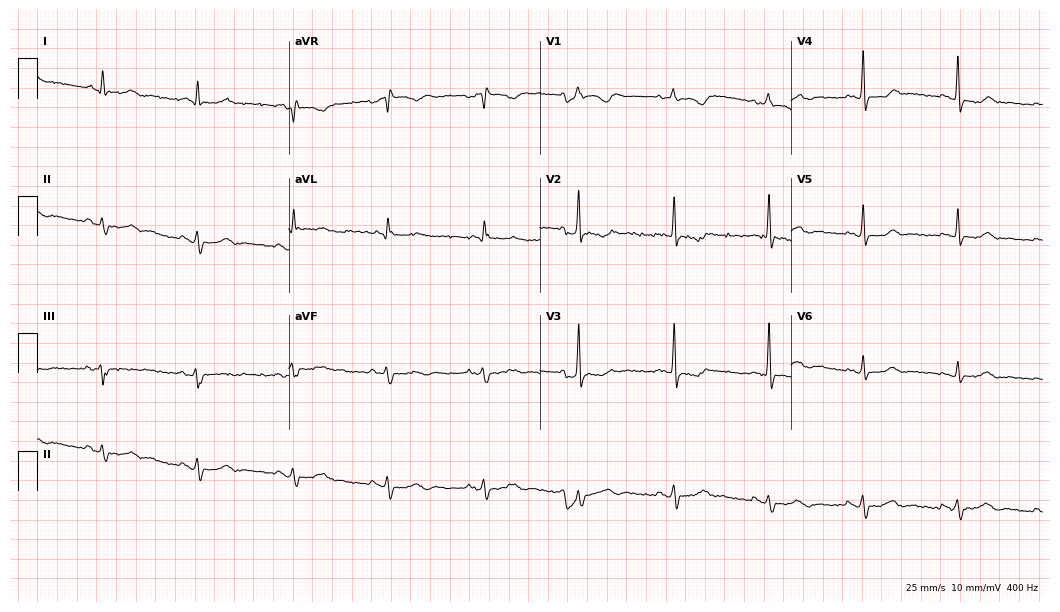
12-lead ECG from a 47-year-old male patient. No first-degree AV block, right bundle branch block (RBBB), left bundle branch block (LBBB), sinus bradycardia, atrial fibrillation (AF) or sinus tachycardia recorded for this tracing. Findings outside these six are not listed.